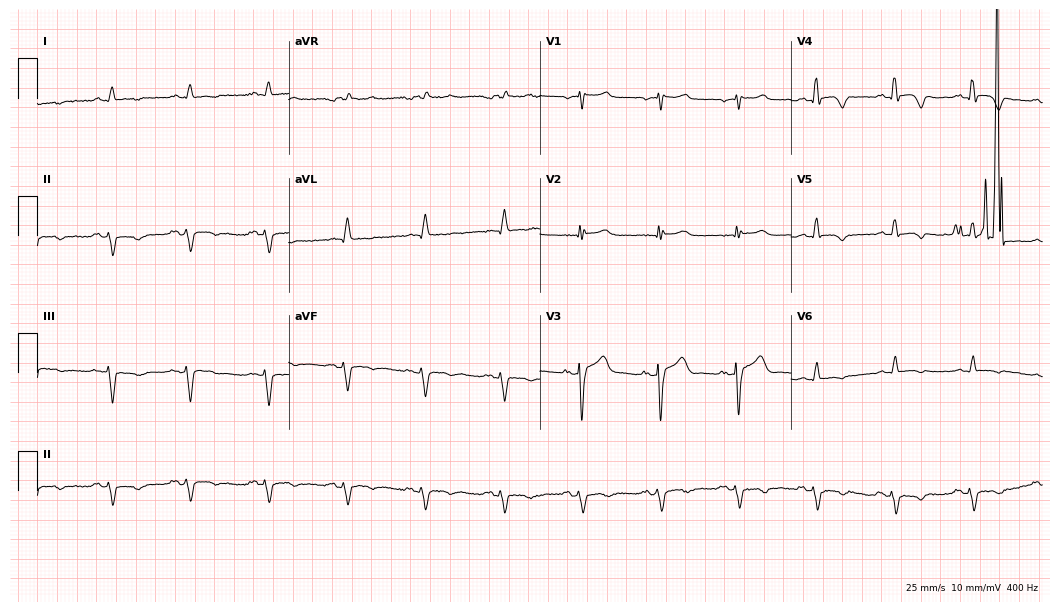
Resting 12-lead electrocardiogram (10.2-second recording at 400 Hz). Patient: a male, 78 years old. None of these six findings is recorded: first-degree AV block, right bundle branch block (RBBB), left bundle branch block (LBBB), sinus bradycardia, atrial fibrillation (AF), sinus tachycardia.